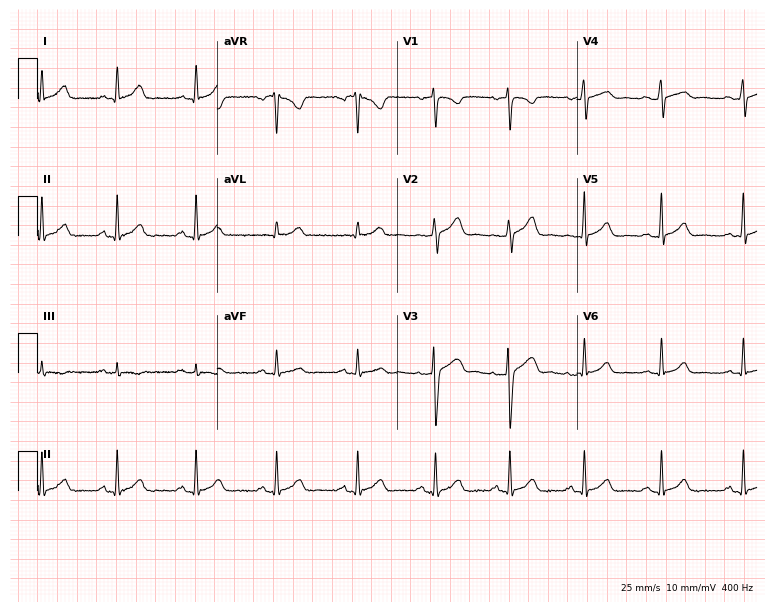
Resting 12-lead electrocardiogram (7.3-second recording at 400 Hz). Patient: a woman, 35 years old. Read as a normal ECG.